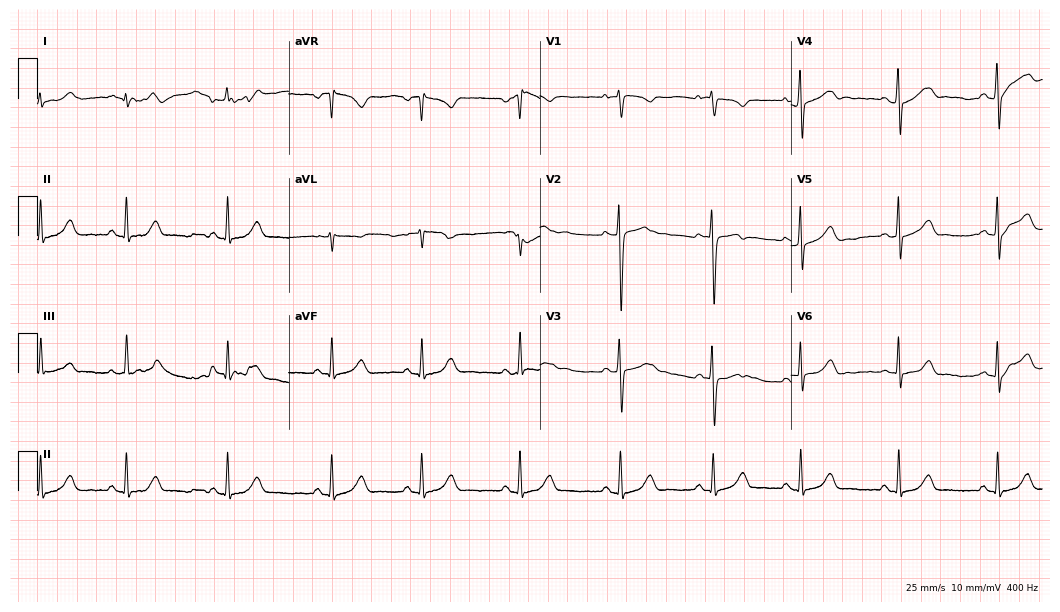
12-lead ECG from a 28-year-old female. Recorded interpretation: within normal limits.